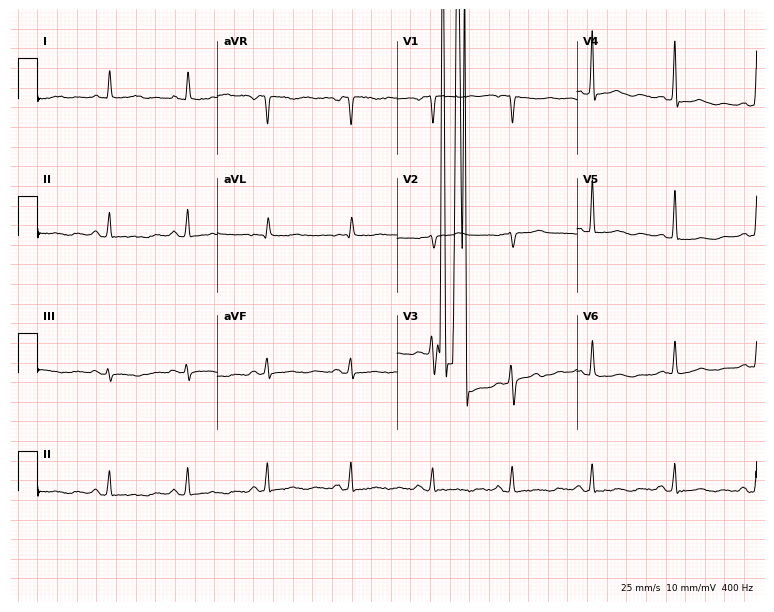
Standard 12-lead ECG recorded from a female patient, 76 years old. None of these six findings is recorded: first-degree AV block, right bundle branch block, left bundle branch block, sinus bradycardia, atrial fibrillation, sinus tachycardia. Findings outside these six are not listed.